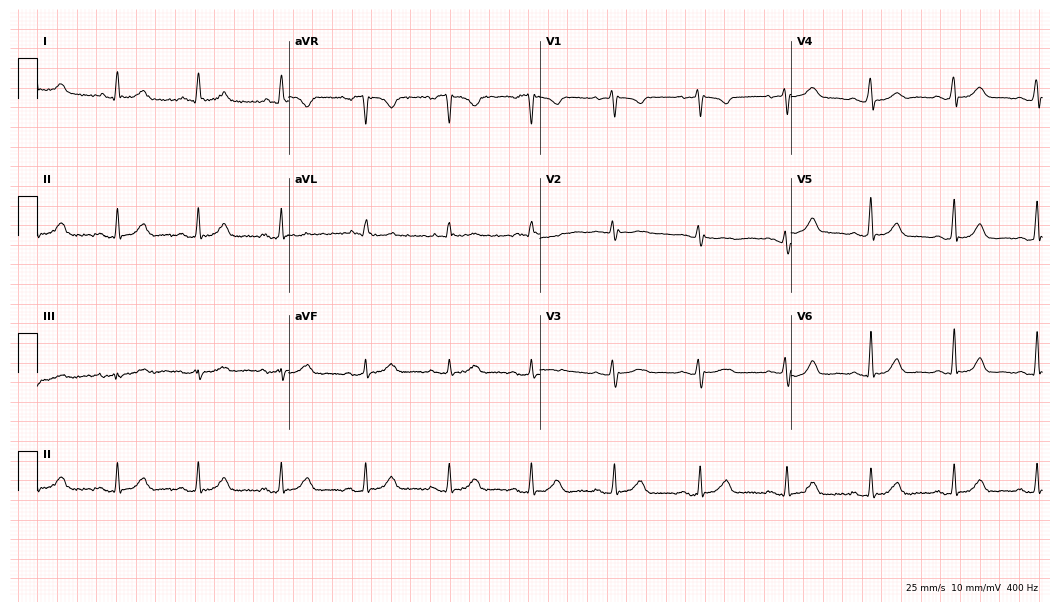
ECG — a 60-year-old female. Labelled as a normal ECG.